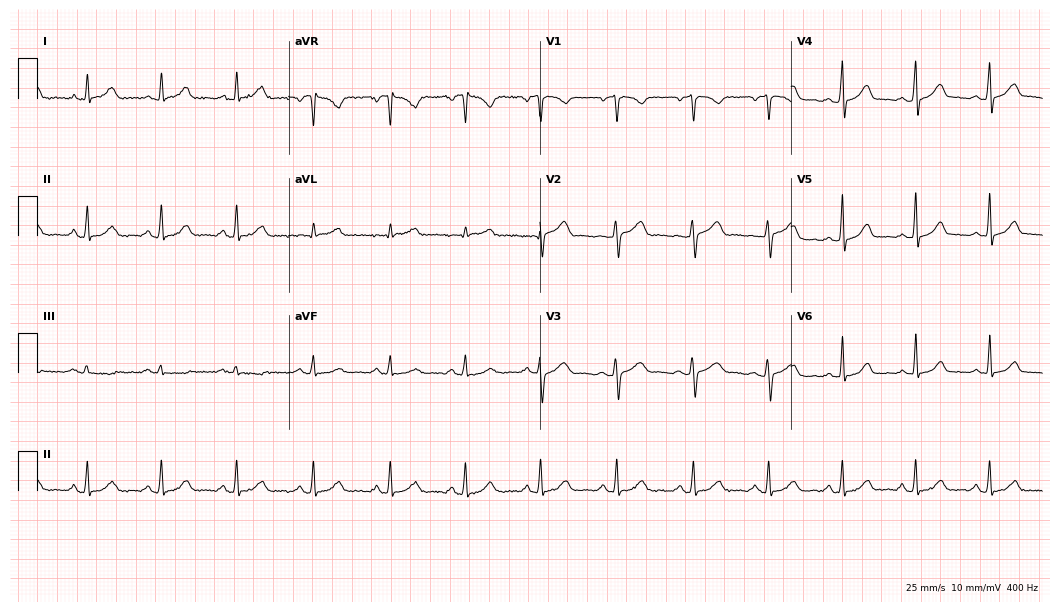
12-lead ECG from a female, 36 years old (10.2-second recording at 400 Hz). Recorded interpretation: within normal limits.